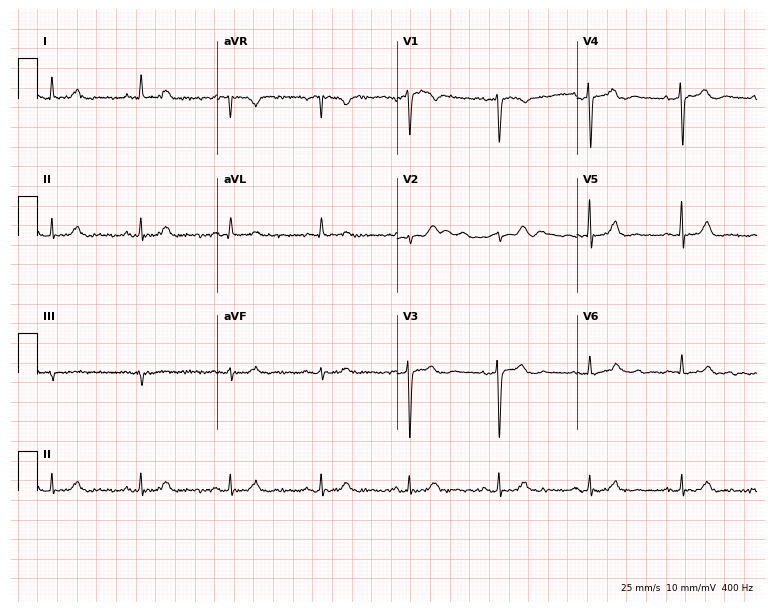
Standard 12-lead ECG recorded from a 72-year-old woman (7.3-second recording at 400 Hz). None of these six findings is recorded: first-degree AV block, right bundle branch block, left bundle branch block, sinus bradycardia, atrial fibrillation, sinus tachycardia.